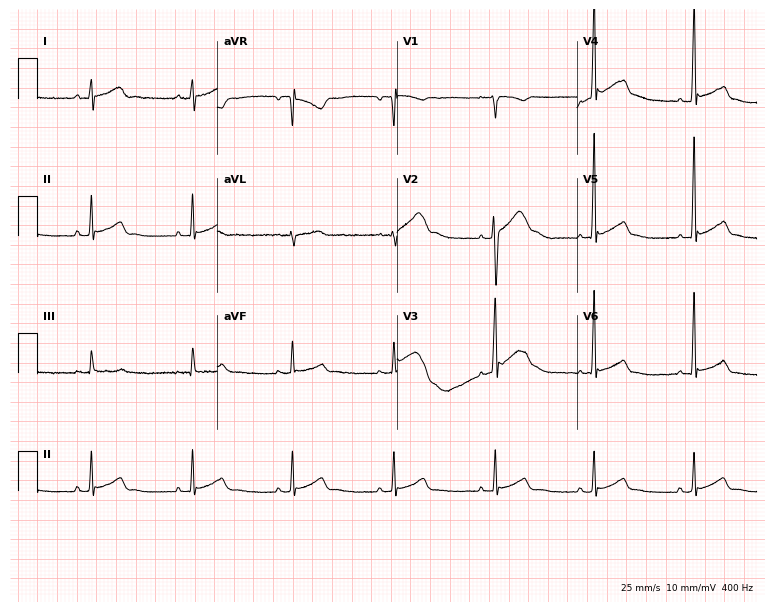
12-lead ECG from a 17-year-old male. Labelled as a normal ECG.